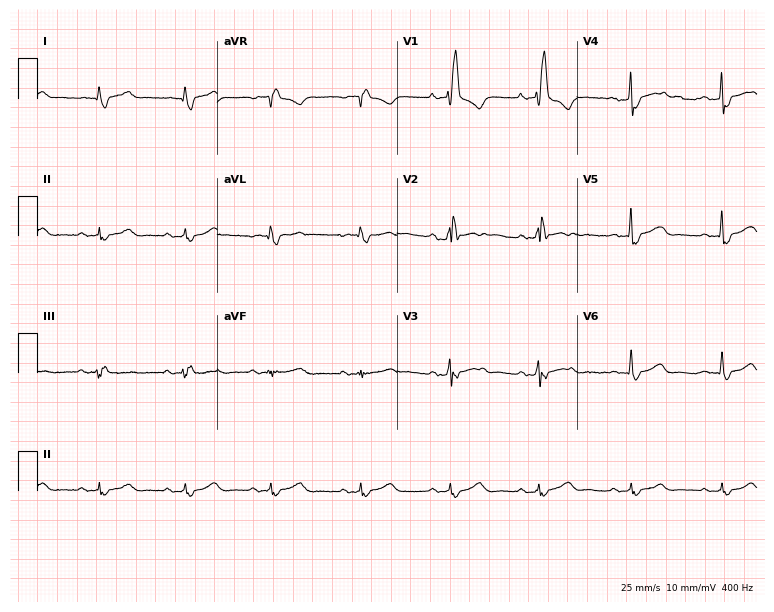
Electrocardiogram (7.3-second recording at 400 Hz), a male patient, 64 years old. Interpretation includes right bundle branch block.